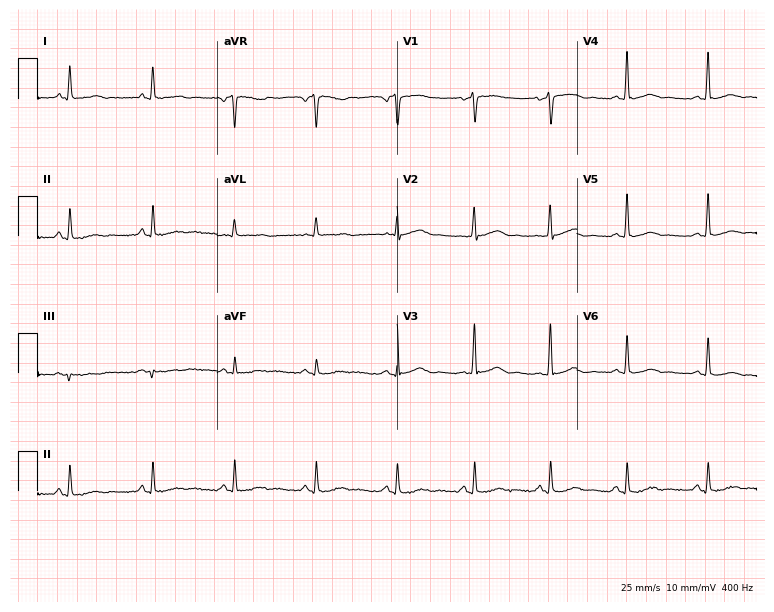
Electrocardiogram, a 43-year-old woman. Of the six screened findings (first-degree AV block, right bundle branch block, left bundle branch block, sinus bradycardia, atrial fibrillation, sinus tachycardia), none is recorded. Other findings, if any, are not listed.